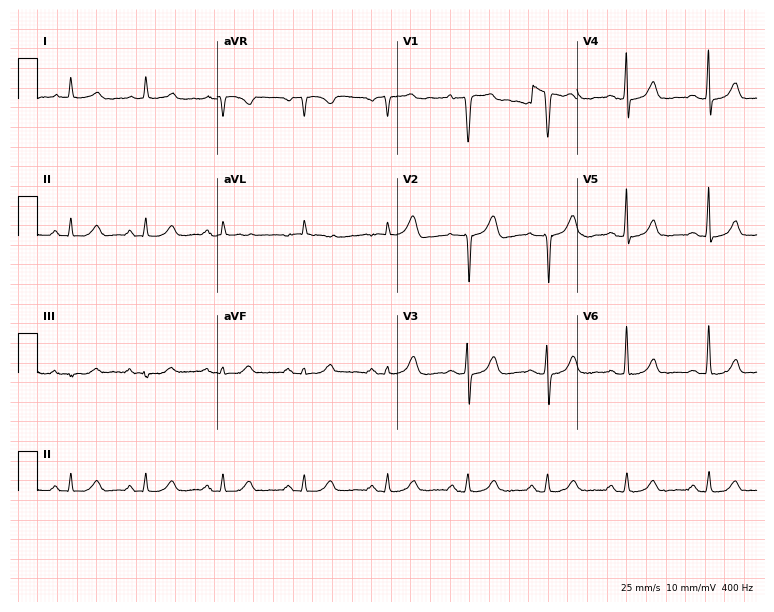
12-lead ECG from a male, 76 years old. Labelled as a normal ECG.